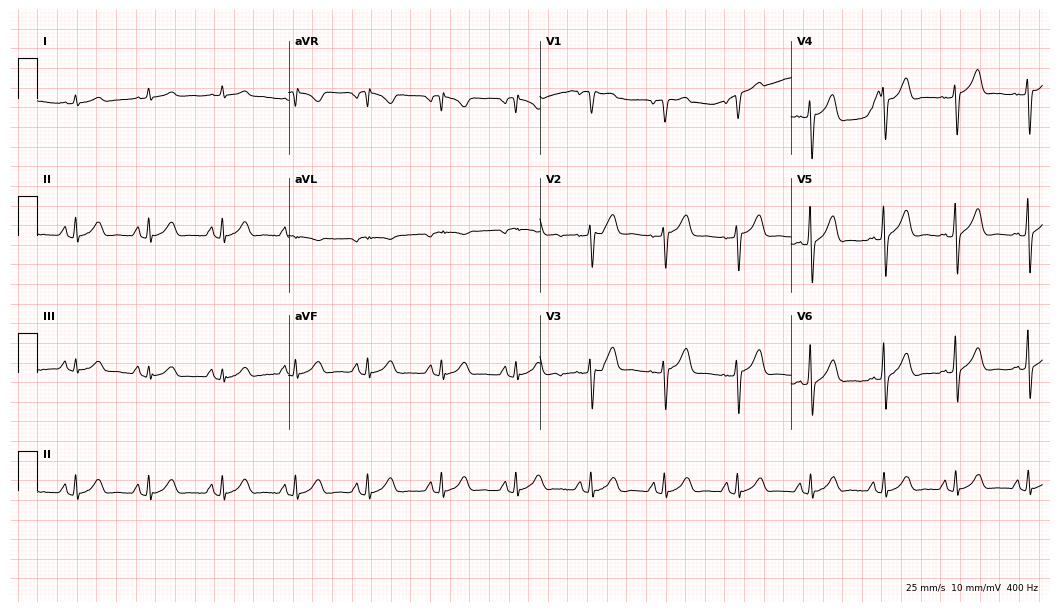
12-lead ECG from a 69-year-old male. Recorded interpretation: within normal limits.